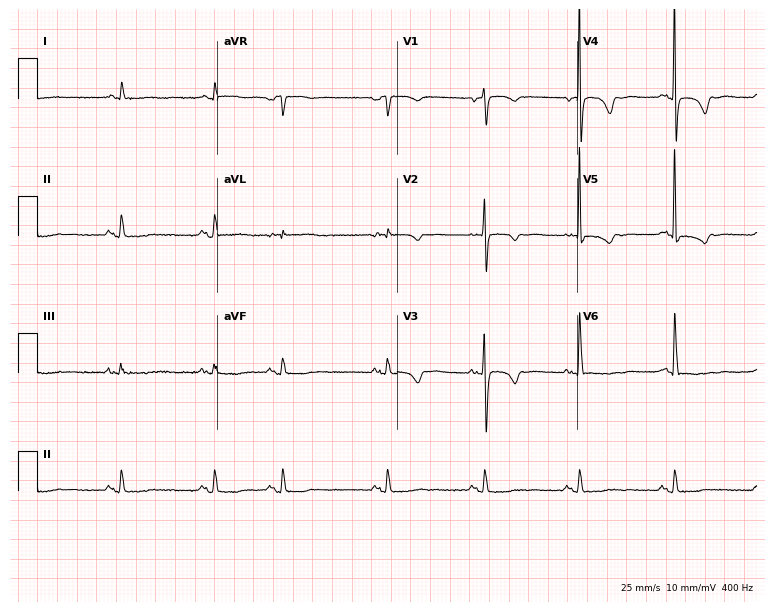
12-lead ECG from a female, 82 years old. Screened for six findings — first-degree AV block, right bundle branch block, left bundle branch block, sinus bradycardia, atrial fibrillation, sinus tachycardia — none is recorded.